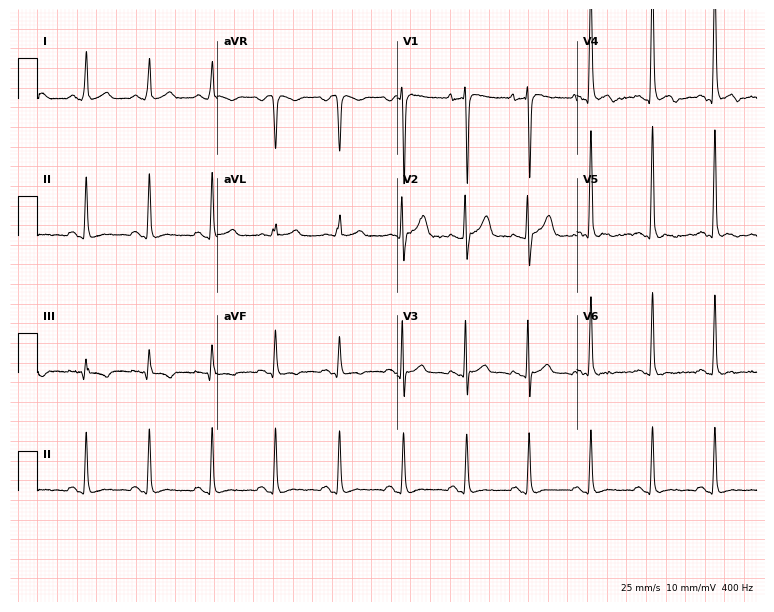
ECG — a 37-year-old male patient. Screened for six findings — first-degree AV block, right bundle branch block (RBBB), left bundle branch block (LBBB), sinus bradycardia, atrial fibrillation (AF), sinus tachycardia — none is recorded.